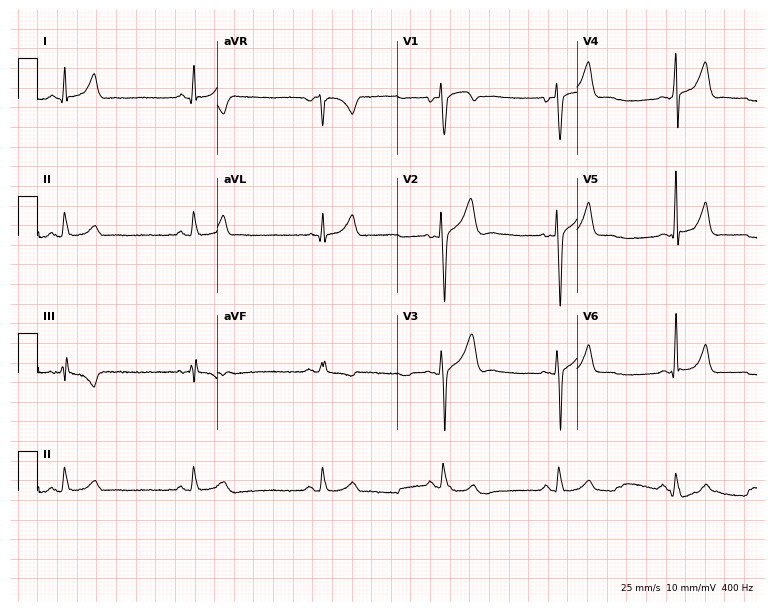
Standard 12-lead ECG recorded from a male, 37 years old (7.3-second recording at 400 Hz). Read as a normal ECG.